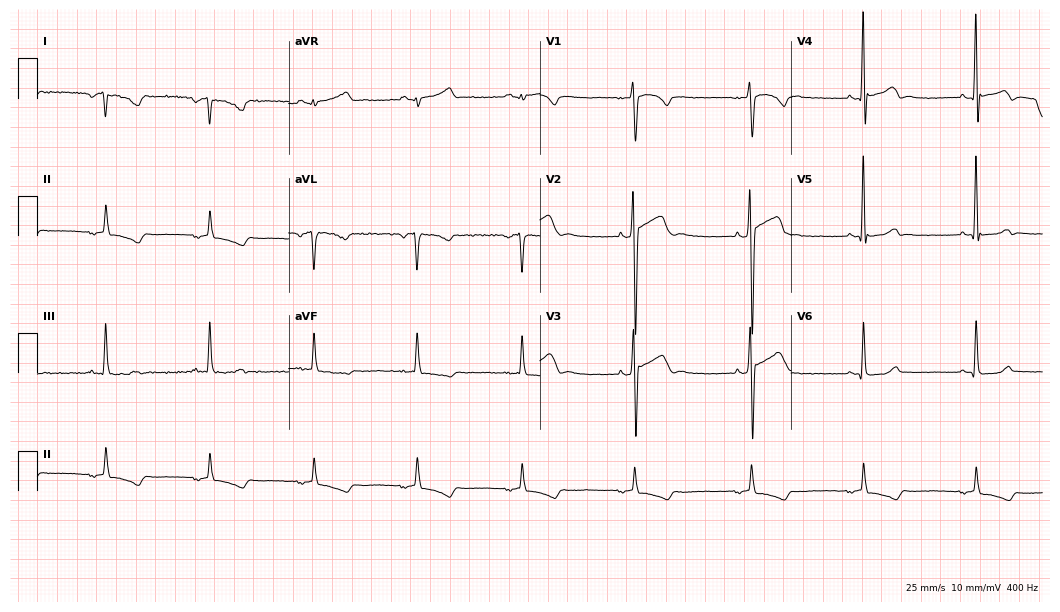
Electrocardiogram (10.2-second recording at 400 Hz), a man, 26 years old. Of the six screened findings (first-degree AV block, right bundle branch block (RBBB), left bundle branch block (LBBB), sinus bradycardia, atrial fibrillation (AF), sinus tachycardia), none is recorded. Other findings, if any, are not listed.